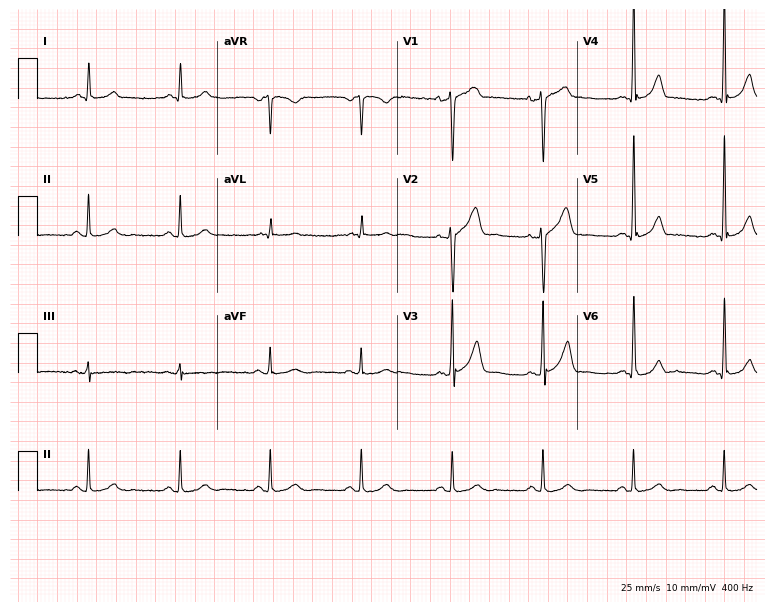
12-lead ECG from a man, 60 years old. Recorded interpretation: within normal limits.